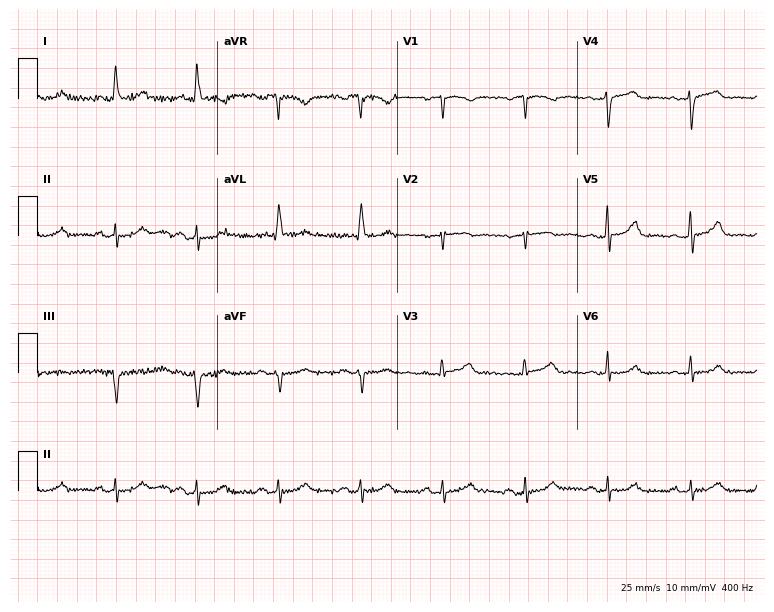
12-lead ECG (7.3-second recording at 400 Hz) from a 73-year-old woman. Screened for six findings — first-degree AV block, right bundle branch block, left bundle branch block, sinus bradycardia, atrial fibrillation, sinus tachycardia — none is recorded.